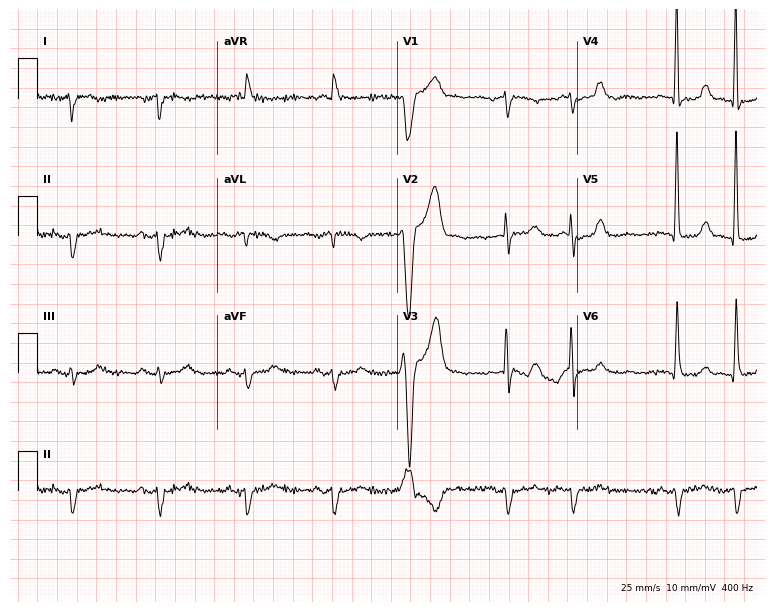
ECG — an 85-year-old male. Screened for six findings — first-degree AV block, right bundle branch block, left bundle branch block, sinus bradycardia, atrial fibrillation, sinus tachycardia — none is recorded.